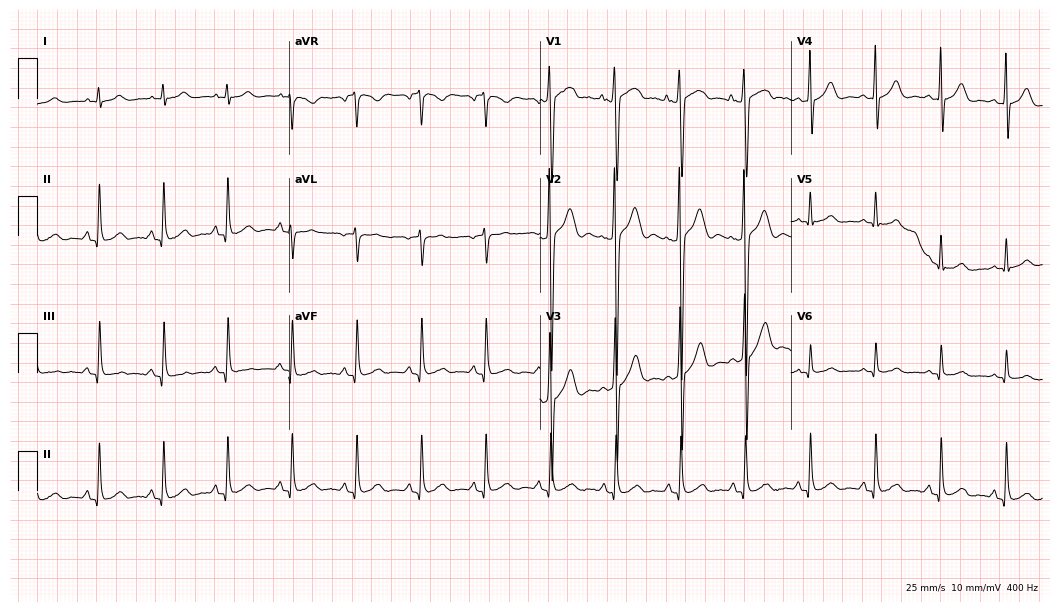
12-lead ECG from a male, 20 years old. Labelled as a normal ECG.